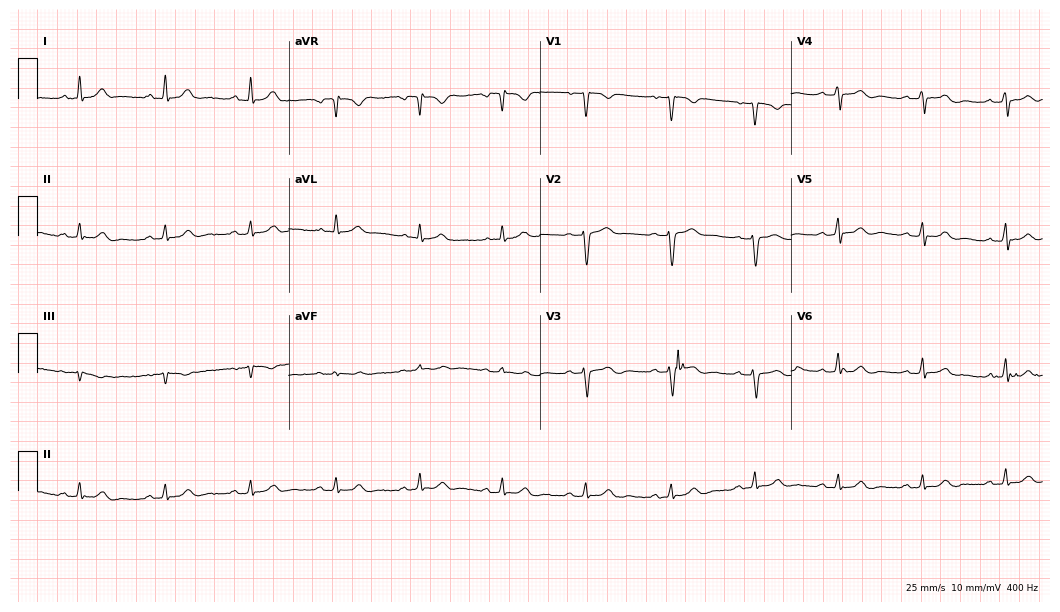
Standard 12-lead ECG recorded from a male, 48 years old (10.2-second recording at 400 Hz). Read as a normal ECG.